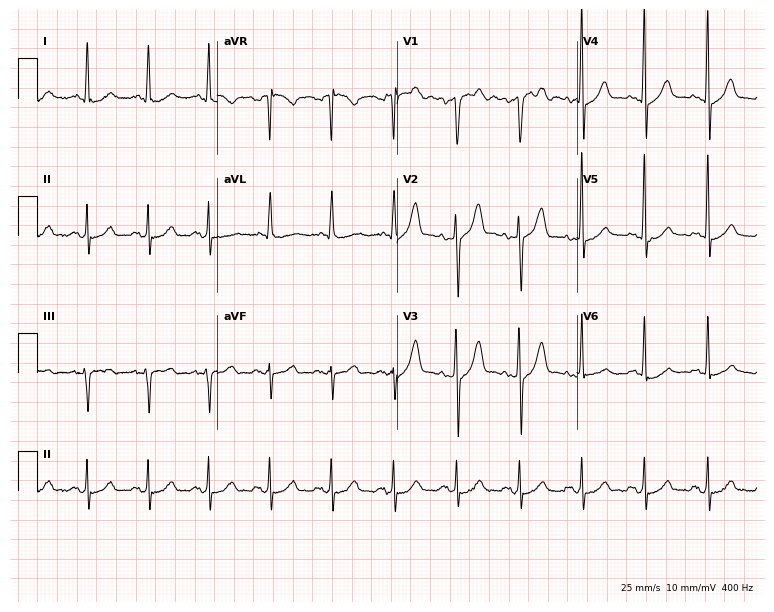
12-lead ECG from a 59-year-old male patient (7.3-second recording at 400 Hz). No first-degree AV block, right bundle branch block (RBBB), left bundle branch block (LBBB), sinus bradycardia, atrial fibrillation (AF) or sinus tachycardia recorded for this tracing.